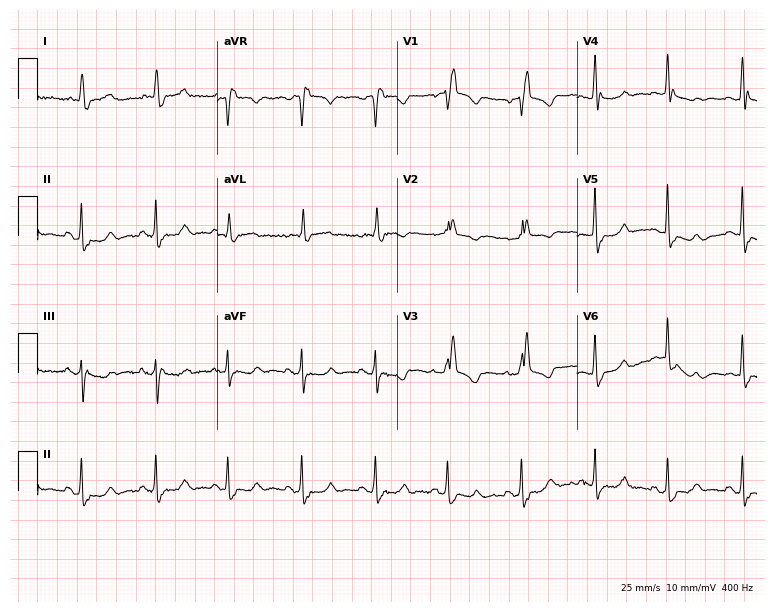
12-lead ECG from an 84-year-old woman. Shows right bundle branch block.